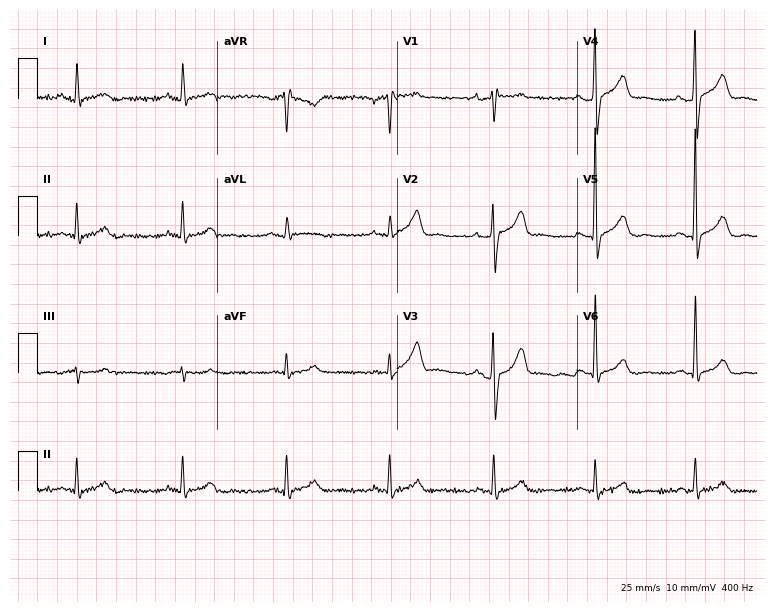
Resting 12-lead electrocardiogram. Patient: a 65-year-old male. Read as a normal ECG.